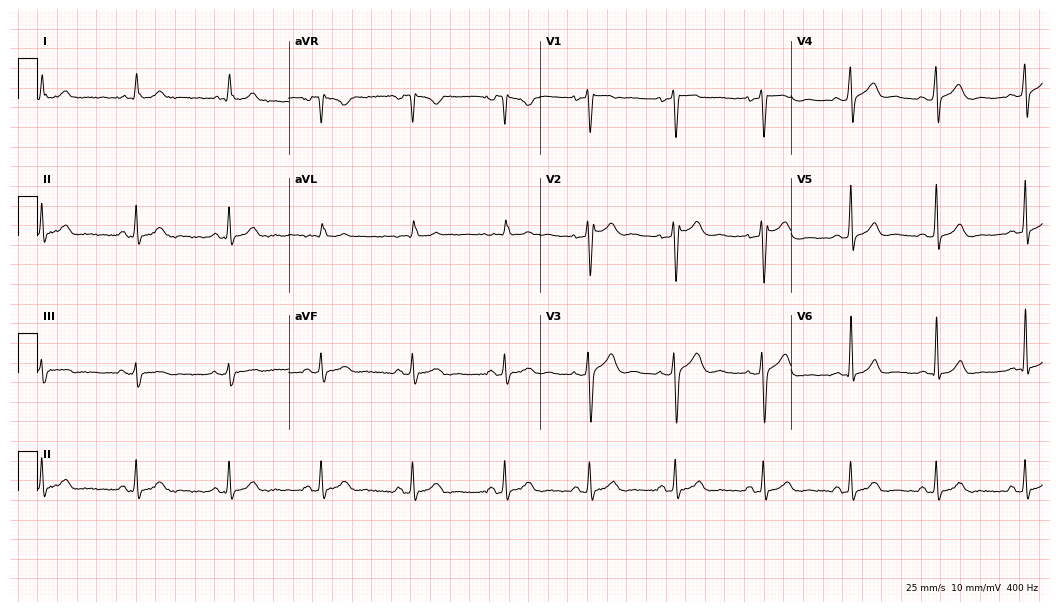
Standard 12-lead ECG recorded from a male patient, 26 years old. None of these six findings is recorded: first-degree AV block, right bundle branch block (RBBB), left bundle branch block (LBBB), sinus bradycardia, atrial fibrillation (AF), sinus tachycardia. Only these six findings were labelled.